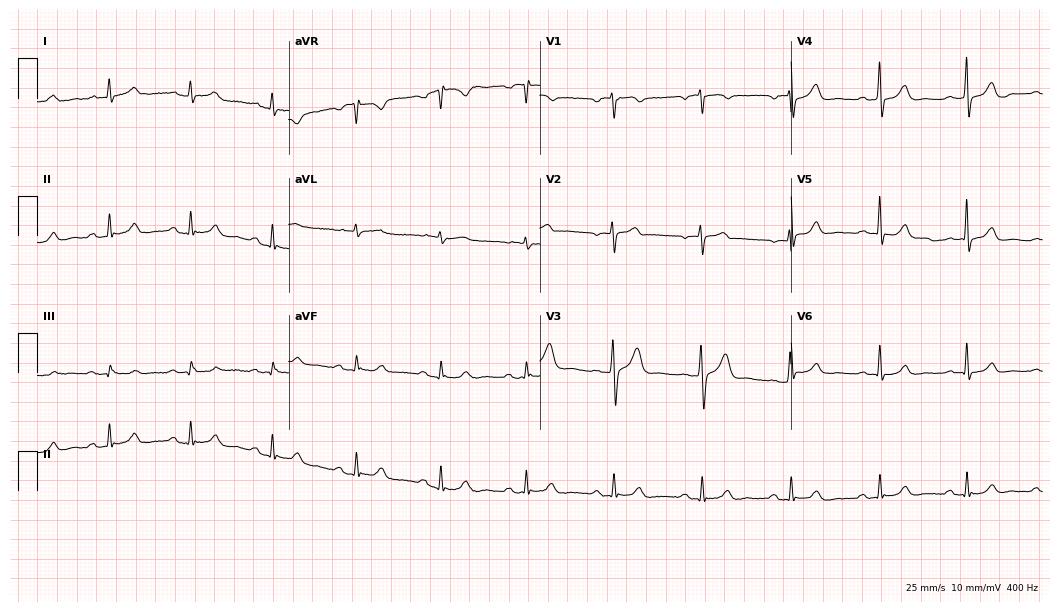
12-lead ECG from a 53-year-old man. Screened for six findings — first-degree AV block, right bundle branch block, left bundle branch block, sinus bradycardia, atrial fibrillation, sinus tachycardia — none is recorded. Only these six findings were labelled.